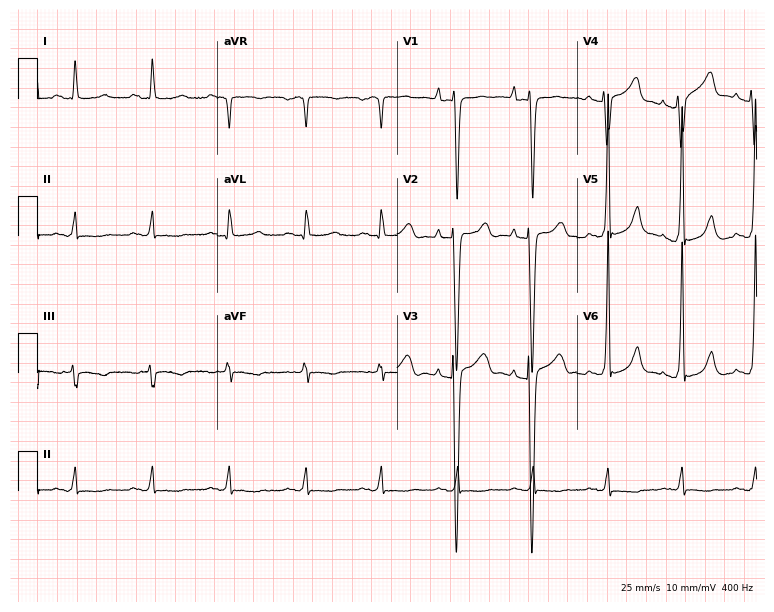
Electrocardiogram, a male patient, 58 years old. Of the six screened findings (first-degree AV block, right bundle branch block, left bundle branch block, sinus bradycardia, atrial fibrillation, sinus tachycardia), none is recorded.